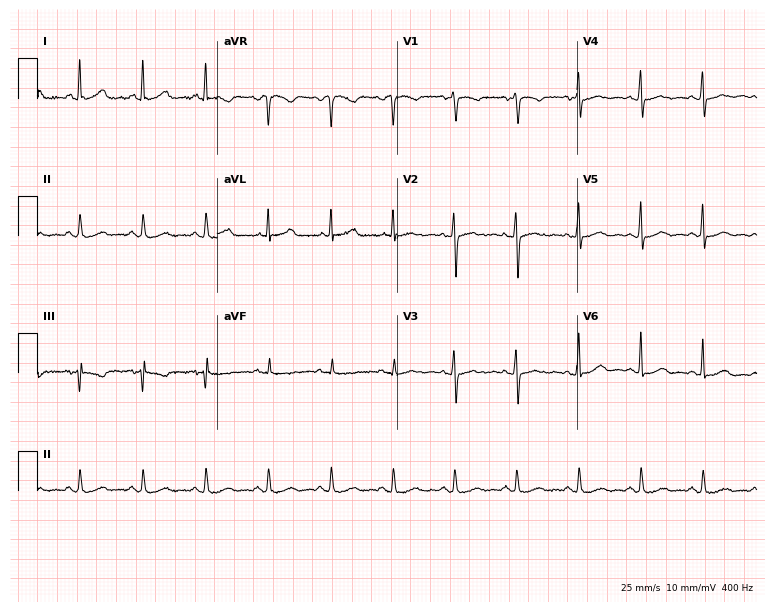
Resting 12-lead electrocardiogram (7.3-second recording at 400 Hz). Patient: a 76-year-old woman. None of these six findings is recorded: first-degree AV block, right bundle branch block, left bundle branch block, sinus bradycardia, atrial fibrillation, sinus tachycardia.